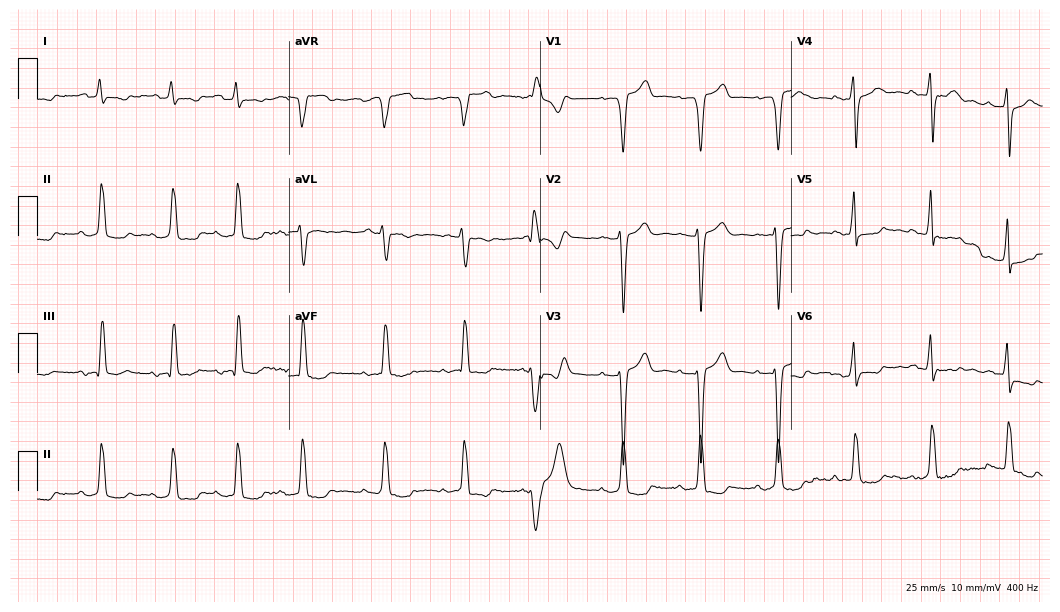
12-lead ECG from an 85-year-old male patient. Screened for six findings — first-degree AV block, right bundle branch block (RBBB), left bundle branch block (LBBB), sinus bradycardia, atrial fibrillation (AF), sinus tachycardia — none is recorded.